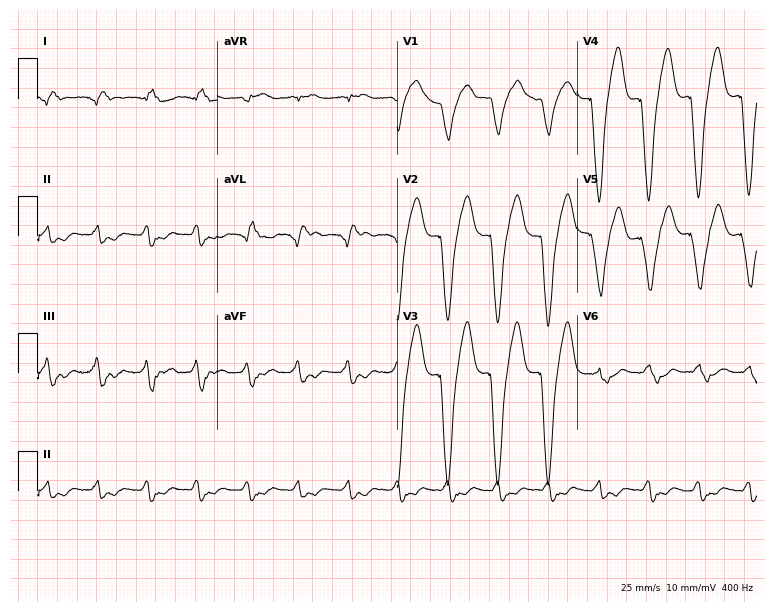
12-lead ECG from a 67-year-old man. Screened for six findings — first-degree AV block, right bundle branch block, left bundle branch block, sinus bradycardia, atrial fibrillation, sinus tachycardia — none is recorded. Other findings, if any, are not listed.